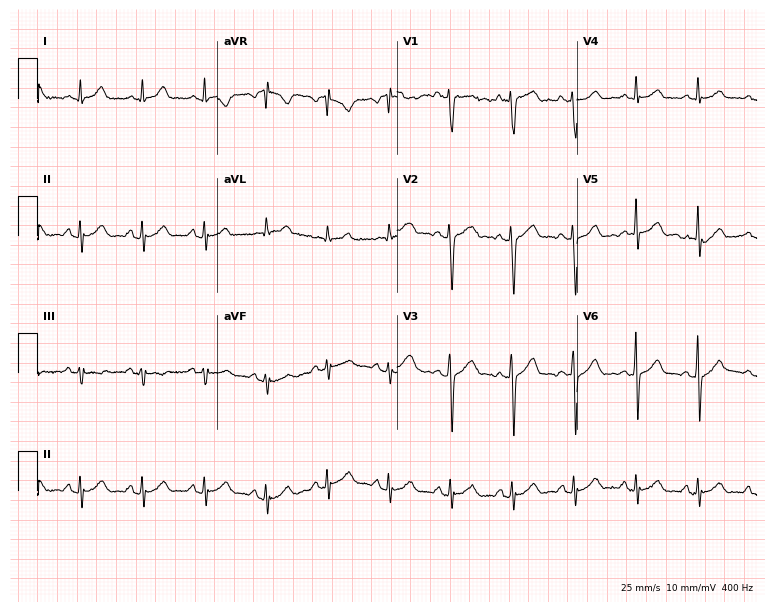
Resting 12-lead electrocardiogram. Patient: a male, 26 years old. None of these six findings is recorded: first-degree AV block, right bundle branch block (RBBB), left bundle branch block (LBBB), sinus bradycardia, atrial fibrillation (AF), sinus tachycardia. Other findings, if any, are not listed.